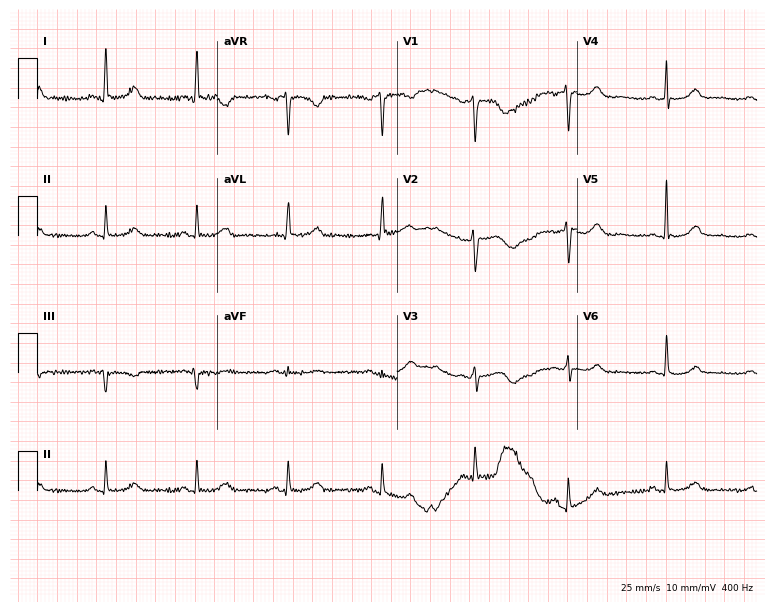
12-lead ECG from a 57-year-old woman (7.3-second recording at 400 Hz). Recorded interpretation: within normal limits.